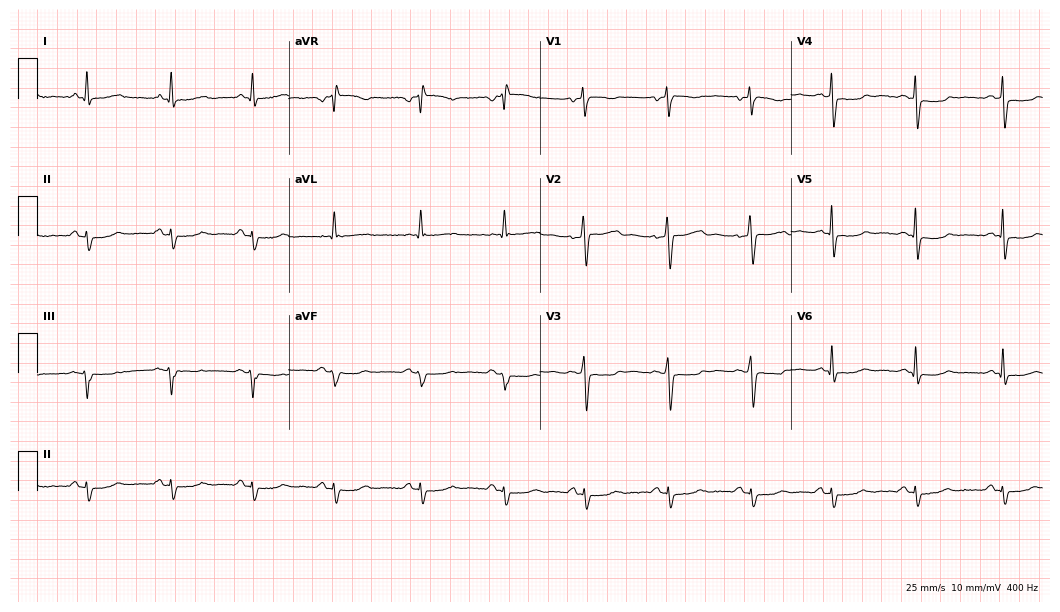
Electrocardiogram, a female patient, 46 years old. Of the six screened findings (first-degree AV block, right bundle branch block, left bundle branch block, sinus bradycardia, atrial fibrillation, sinus tachycardia), none is recorded.